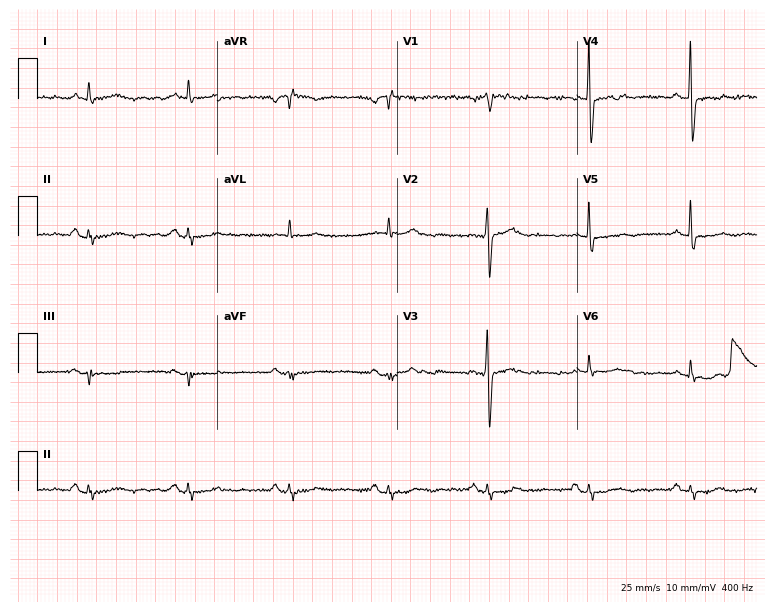
ECG (7.3-second recording at 400 Hz) — a female patient, 76 years old. Screened for six findings — first-degree AV block, right bundle branch block, left bundle branch block, sinus bradycardia, atrial fibrillation, sinus tachycardia — none is recorded. Other findings, if any, are not listed.